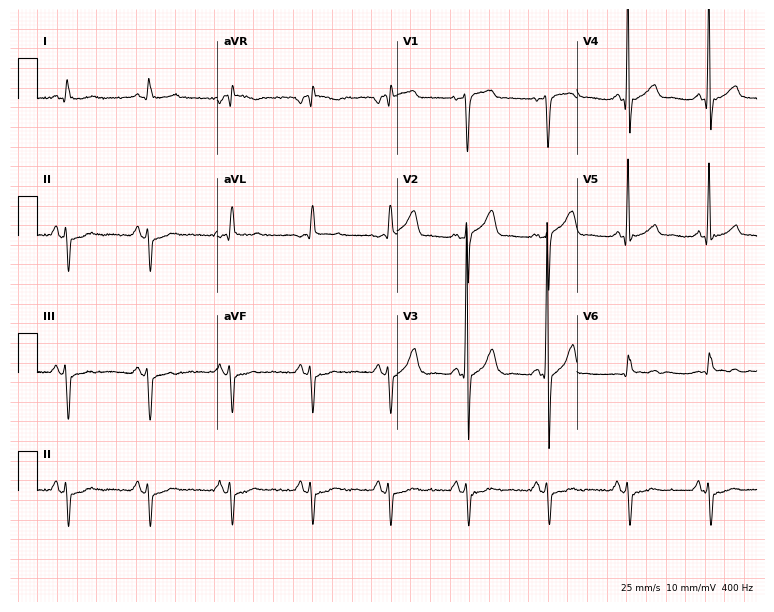
Standard 12-lead ECG recorded from a male patient, 22 years old. None of these six findings is recorded: first-degree AV block, right bundle branch block, left bundle branch block, sinus bradycardia, atrial fibrillation, sinus tachycardia.